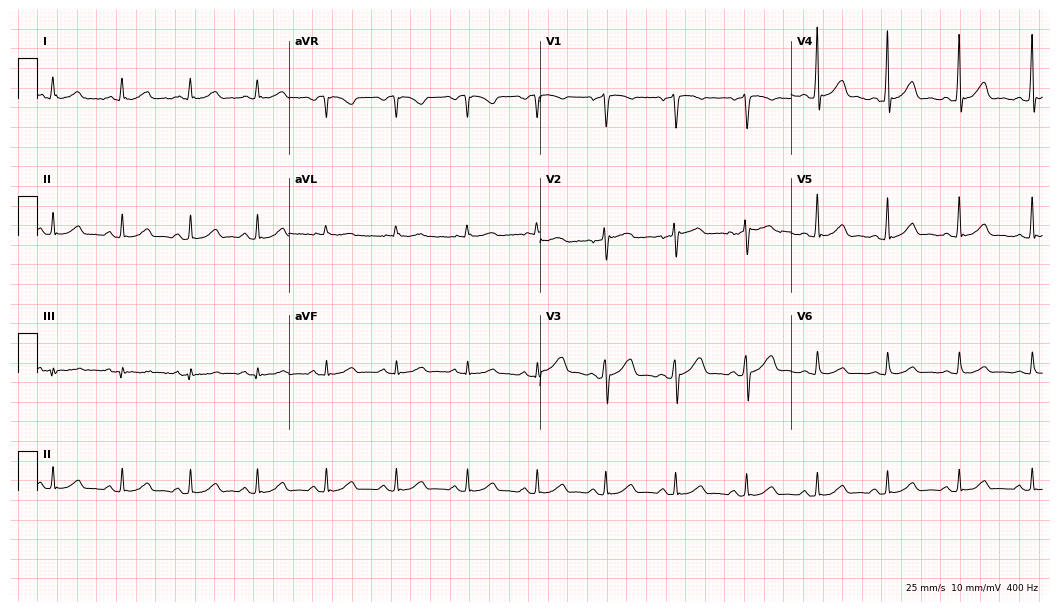
Resting 12-lead electrocardiogram (10.2-second recording at 400 Hz). Patient: a male, 54 years old. None of these six findings is recorded: first-degree AV block, right bundle branch block, left bundle branch block, sinus bradycardia, atrial fibrillation, sinus tachycardia. Findings outside these six are not listed.